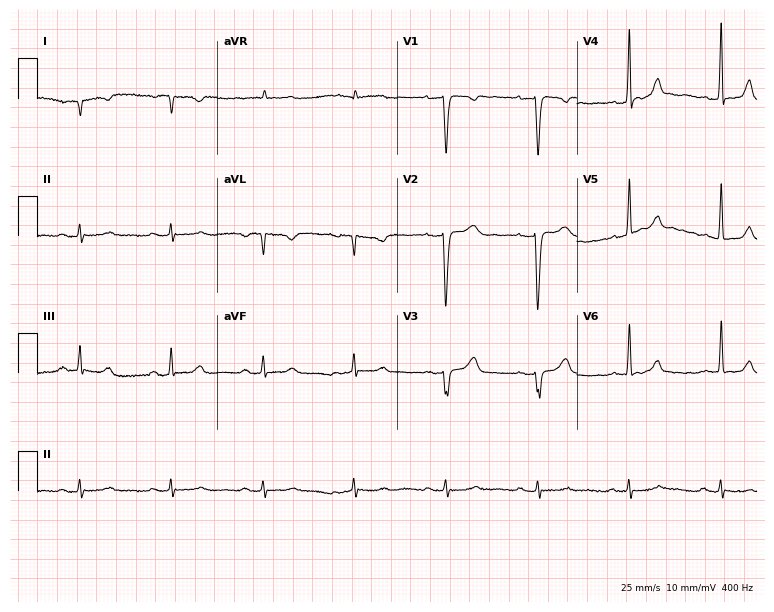
12-lead ECG from a 58-year-old woman (7.3-second recording at 400 Hz). No first-degree AV block, right bundle branch block, left bundle branch block, sinus bradycardia, atrial fibrillation or sinus tachycardia recorded for this tracing.